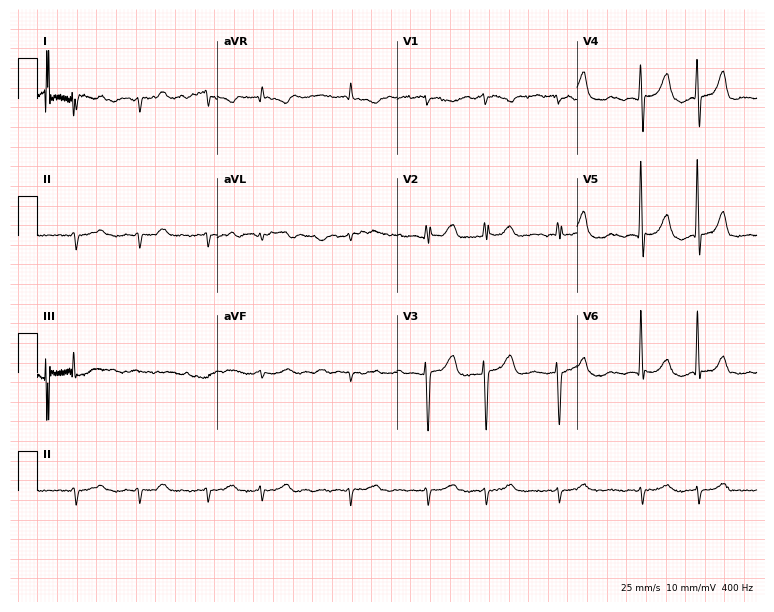
ECG (7.3-second recording at 400 Hz) — a 76-year-old male patient. Screened for six findings — first-degree AV block, right bundle branch block, left bundle branch block, sinus bradycardia, atrial fibrillation, sinus tachycardia — none is recorded. Only these six findings were labelled.